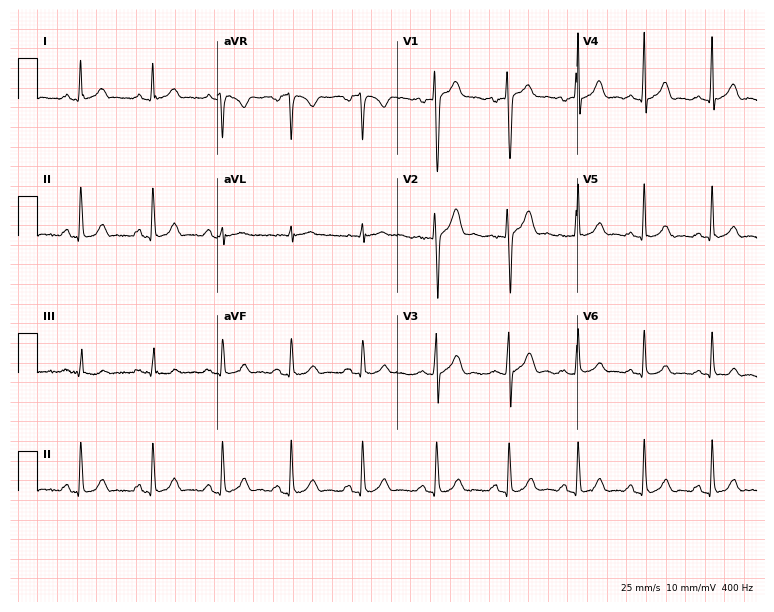
ECG — a 20-year-old man. Screened for six findings — first-degree AV block, right bundle branch block, left bundle branch block, sinus bradycardia, atrial fibrillation, sinus tachycardia — none is recorded.